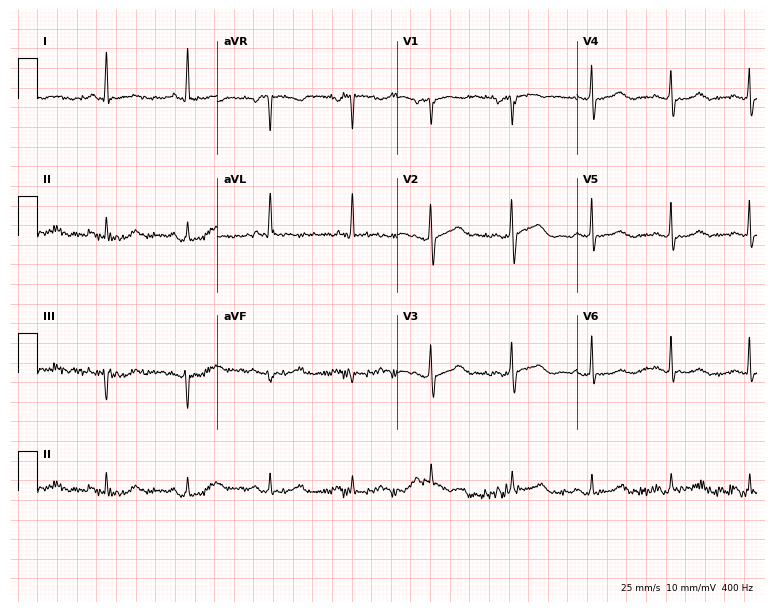
12-lead ECG from a female patient, 70 years old (7.3-second recording at 400 Hz). No first-degree AV block, right bundle branch block, left bundle branch block, sinus bradycardia, atrial fibrillation or sinus tachycardia recorded for this tracing.